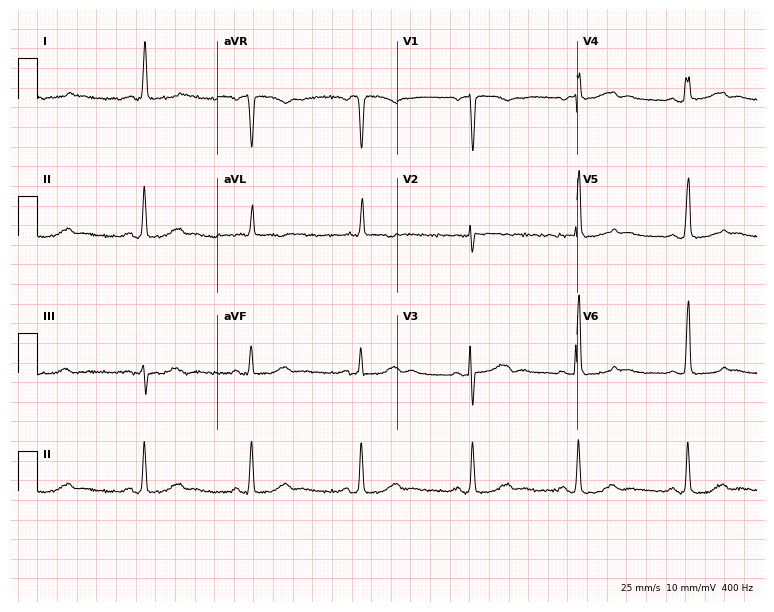
12-lead ECG from a 63-year-old female patient. Recorded interpretation: within normal limits.